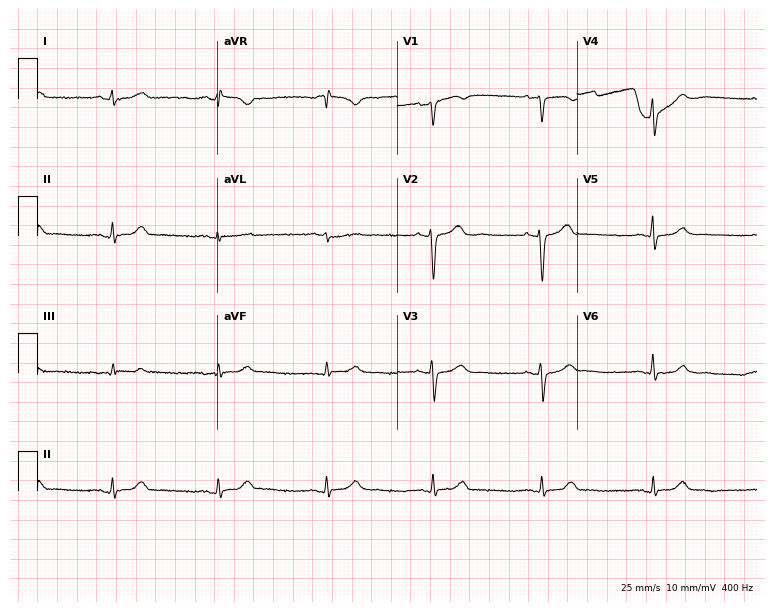
ECG (7.3-second recording at 400 Hz) — a 63-year-old woman. Screened for six findings — first-degree AV block, right bundle branch block, left bundle branch block, sinus bradycardia, atrial fibrillation, sinus tachycardia — none is recorded.